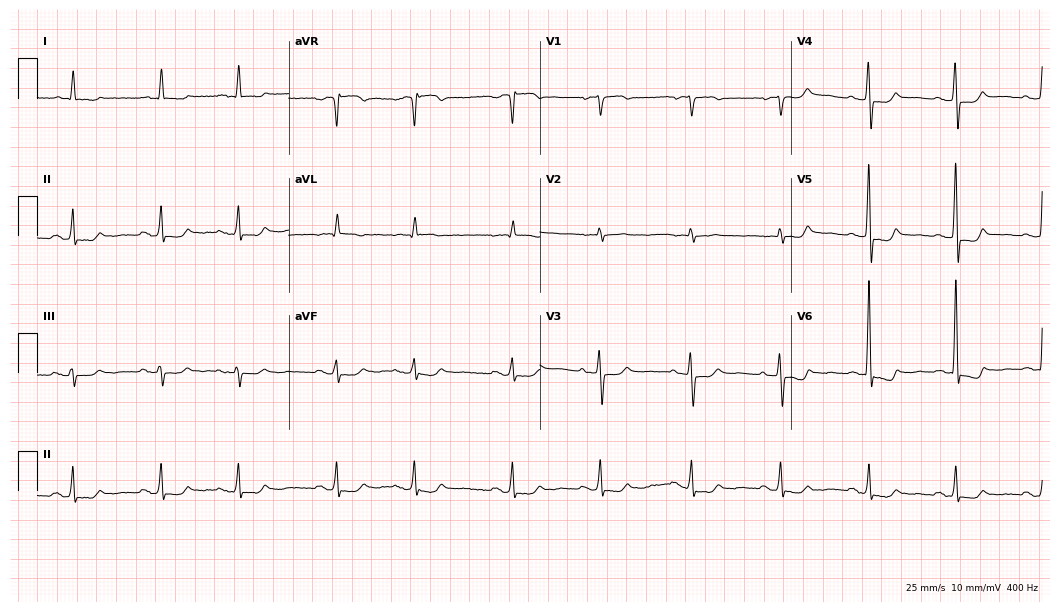
Standard 12-lead ECG recorded from a female, 78 years old (10.2-second recording at 400 Hz). None of these six findings is recorded: first-degree AV block, right bundle branch block (RBBB), left bundle branch block (LBBB), sinus bradycardia, atrial fibrillation (AF), sinus tachycardia. Only these six findings were labelled.